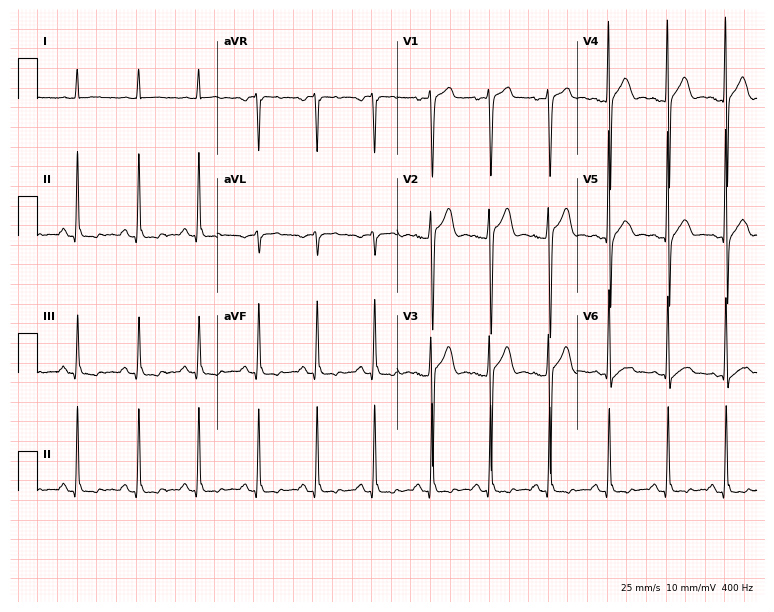
Standard 12-lead ECG recorded from a male, 27 years old (7.3-second recording at 400 Hz). None of these six findings is recorded: first-degree AV block, right bundle branch block, left bundle branch block, sinus bradycardia, atrial fibrillation, sinus tachycardia. Other findings, if any, are not listed.